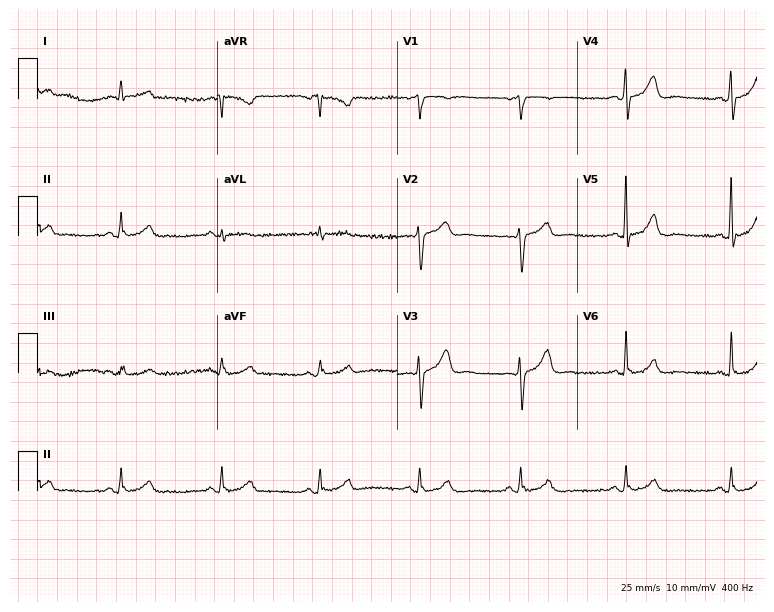
12-lead ECG from a male patient, 47 years old. No first-degree AV block, right bundle branch block (RBBB), left bundle branch block (LBBB), sinus bradycardia, atrial fibrillation (AF) or sinus tachycardia recorded for this tracing. Only these six findings were labelled.